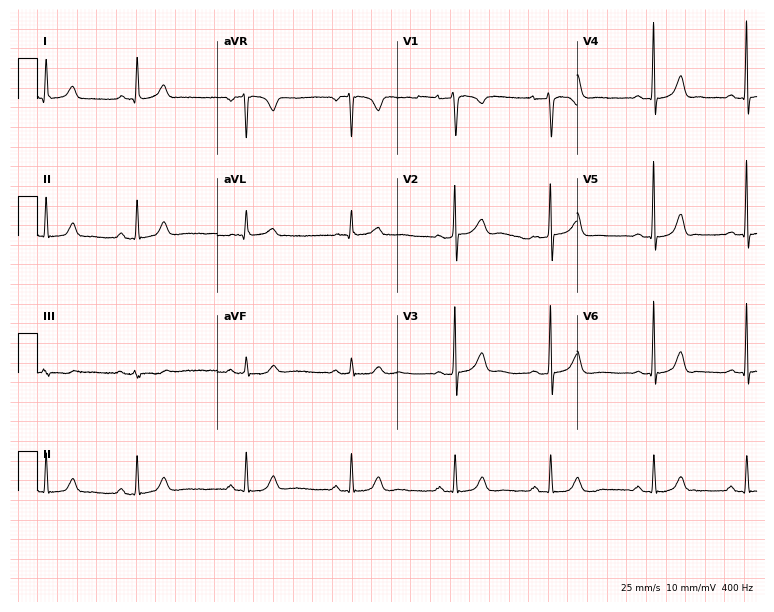
12-lead ECG from a female patient, 28 years old (7.3-second recording at 400 Hz). No first-degree AV block, right bundle branch block (RBBB), left bundle branch block (LBBB), sinus bradycardia, atrial fibrillation (AF) or sinus tachycardia recorded for this tracing.